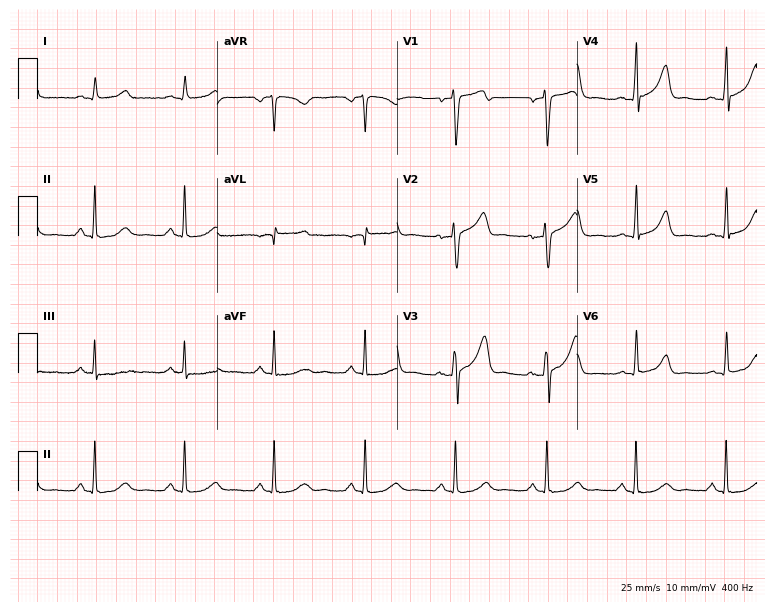
Electrocardiogram, a male, 59 years old. Overall reading on record: normal ECG.